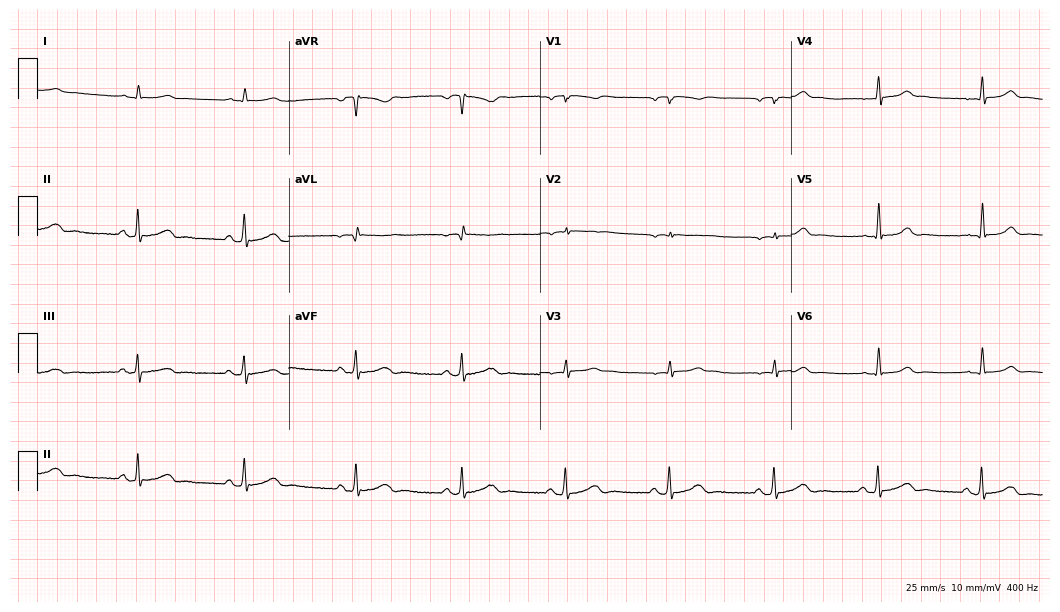
12-lead ECG from a 71-year-old male (10.2-second recording at 400 Hz). Recorded interpretation: within normal limits.